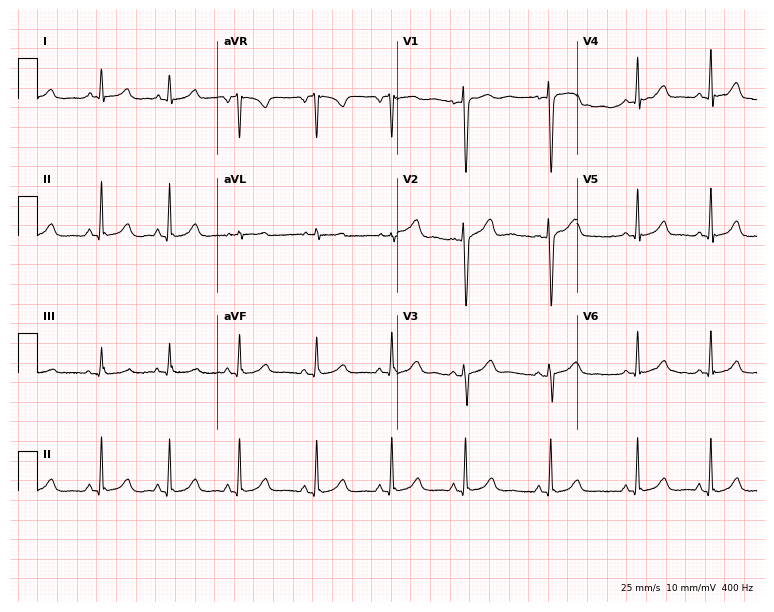
ECG (7.3-second recording at 400 Hz) — a female, 24 years old. Labelled as a normal ECG.